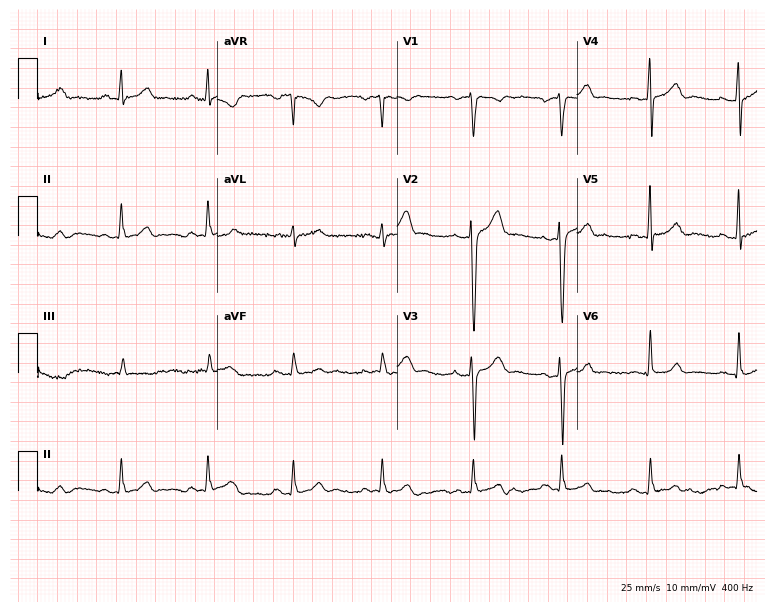
ECG (7.3-second recording at 400 Hz) — a man, 43 years old. Labelled as a normal ECG.